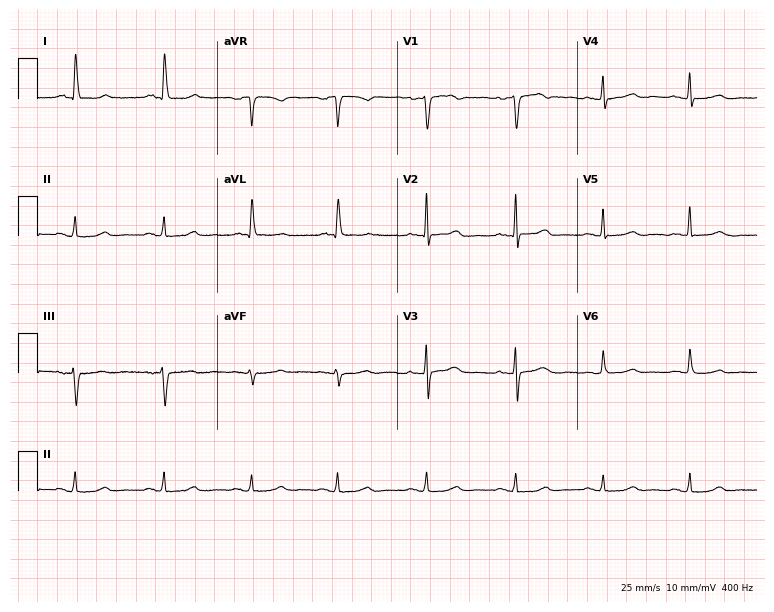
Resting 12-lead electrocardiogram. Patient: a 75-year-old female. None of these six findings is recorded: first-degree AV block, right bundle branch block, left bundle branch block, sinus bradycardia, atrial fibrillation, sinus tachycardia. Other findings, if any, are not listed.